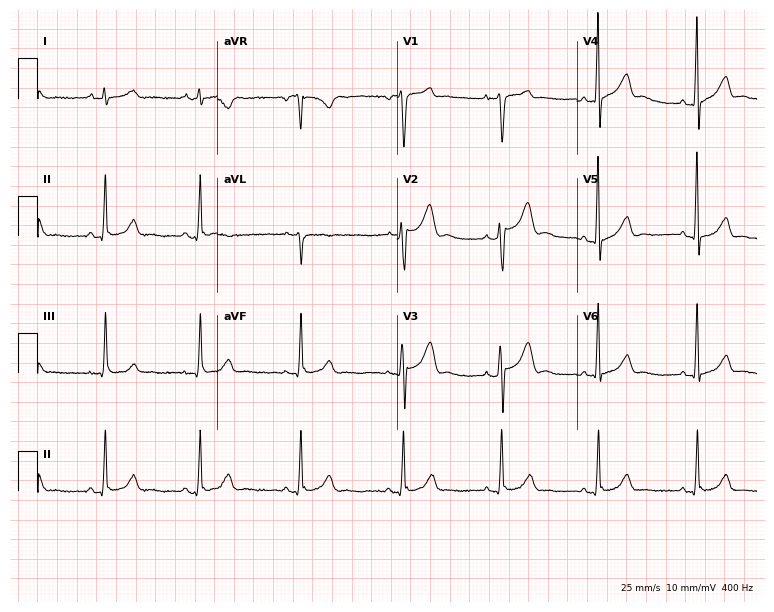
12-lead ECG (7.3-second recording at 400 Hz) from a 34-year-old man. Labelled as a normal ECG.